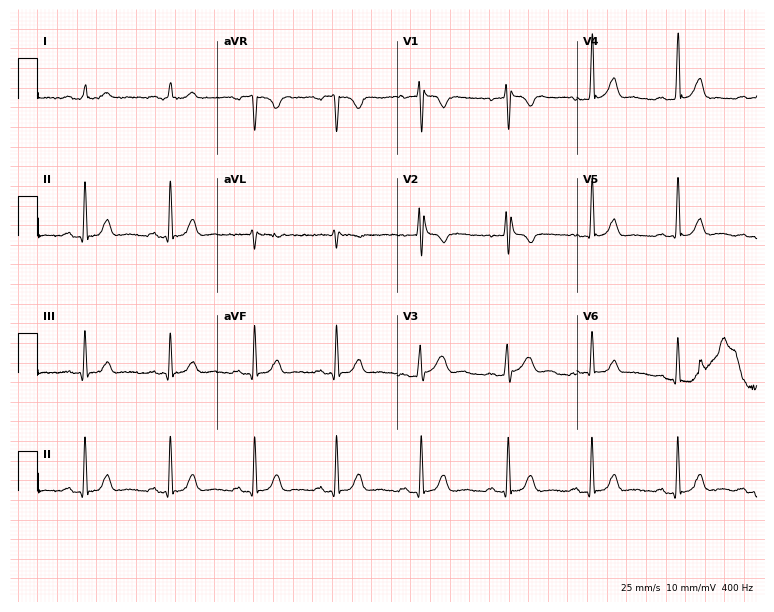
ECG (7.3-second recording at 400 Hz) — a female, 26 years old. Screened for six findings — first-degree AV block, right bundle branch block, left bundle branch block, sinus bradycardia, atrial fibrillation, sinus tachycardia — none is recorded. Only these six findings were labelled.